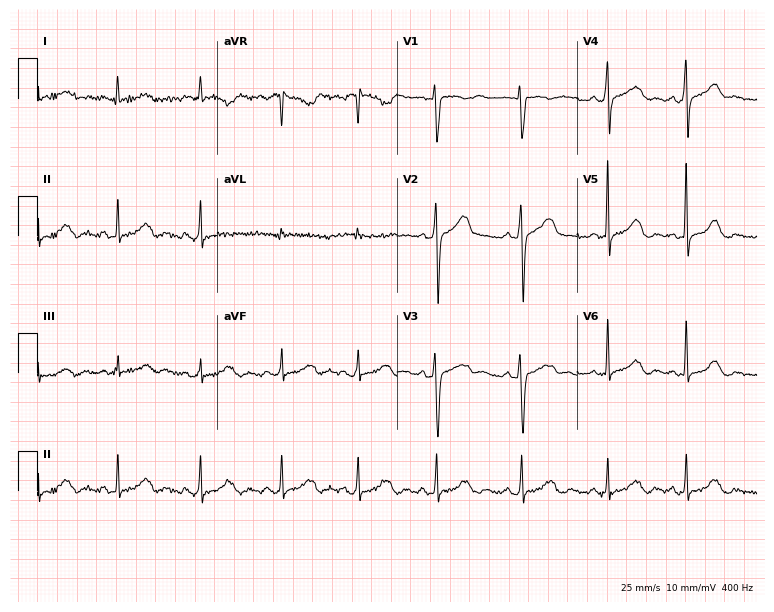
12-lead ECG from a 26-year-old man (7.3-second recording at 400 Hz). Recorded interpretation: within normal limits.